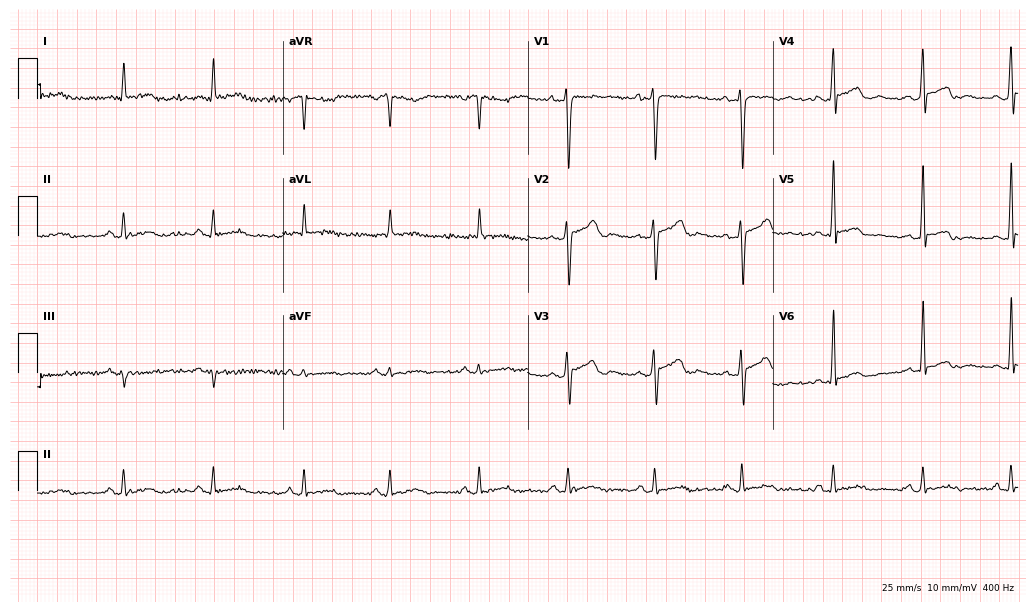
Standard 12-lead ECG recorded from a 40-year-old male (10-second recording at 400 Hz). Read as a normal ECG.